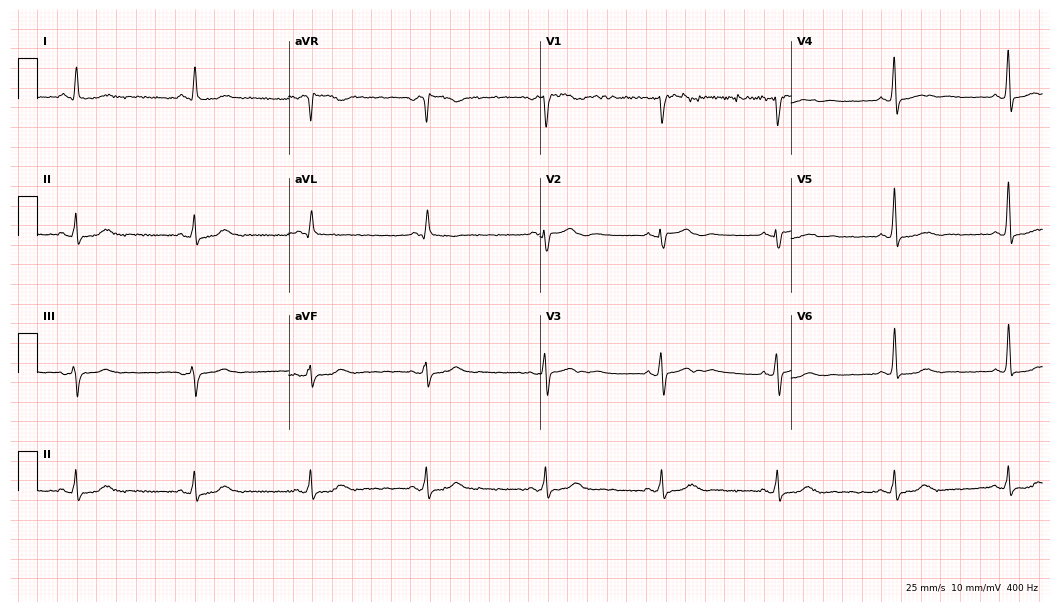
Electrocardiogram (10.2-second recording at 400 Hz), a female patient, 51 years old. Interpretation includes sinus bradycardia (a sinus rate of 50 beats per minute or less).